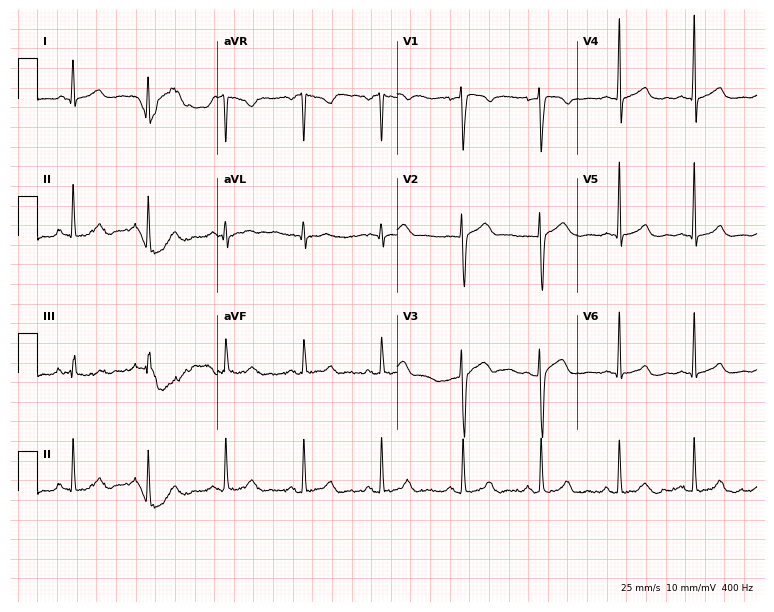
Resting 12-lead electrocardiogram (7.3-second recording at 400 Hz). Patient: a man, 29 years old. Read as a normal ECG.